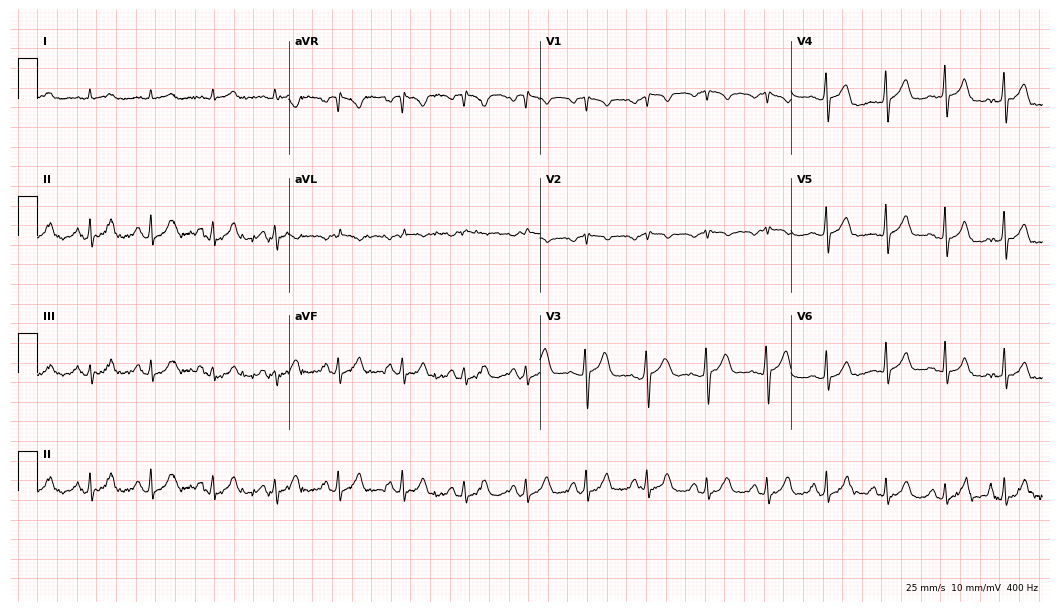
Resting 12-lead electrocardiogram. Patient: a man, 52 years old. Read as a normal ECG.